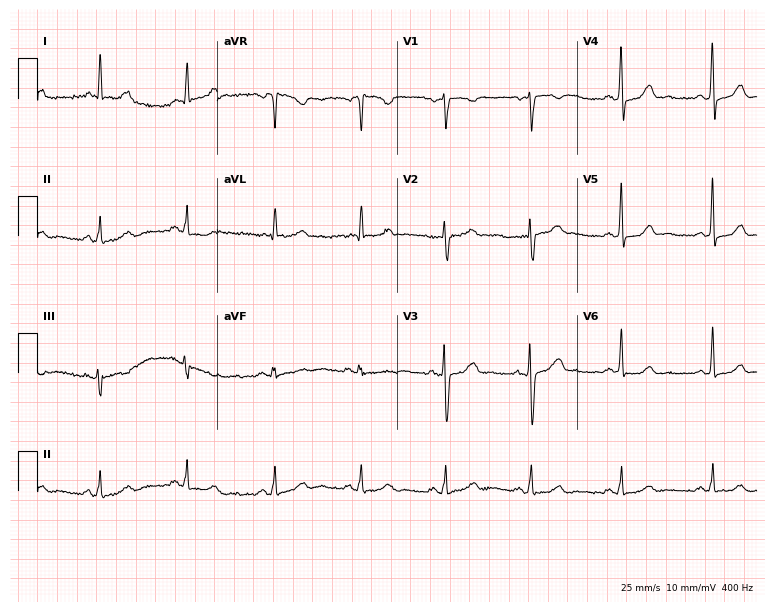
ECG — a female patient, 44 years old. Screened for six findings — first-degree AV block, right bundle branch block, left bundle branch block, sinus bradycardia, atrial fibrillation, sinus tachycardia — none is recorded. Other findings, if any, are not listed.